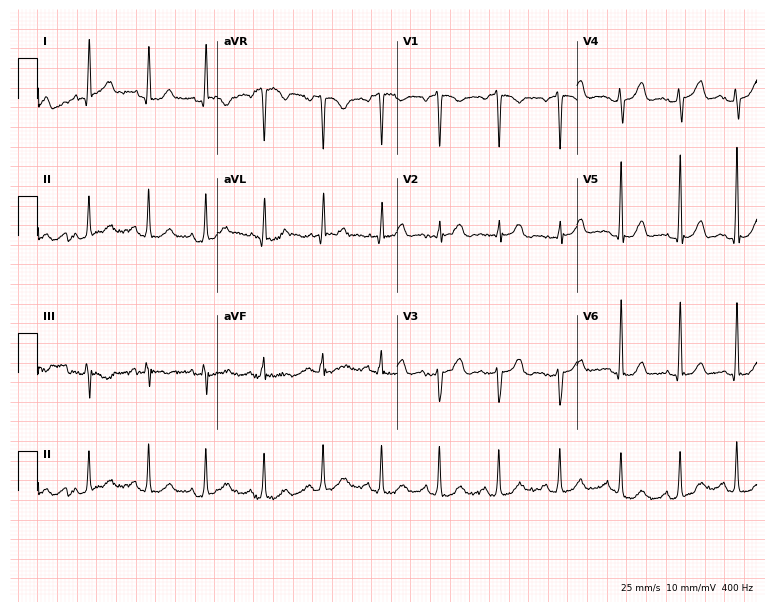
Standard 12-lead ECG recorded from a 27-year-old female. The tracing shows sinus tachycardia (a sinus rate of 100 beats per minute or more).